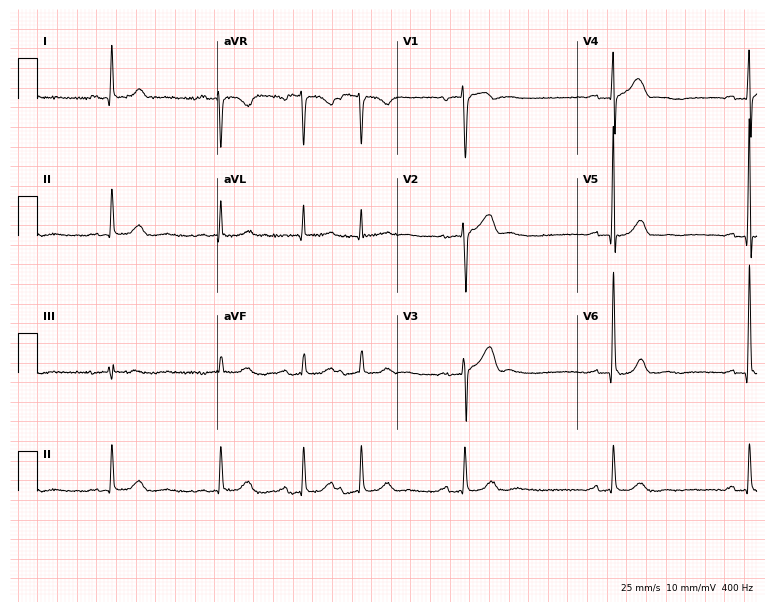
Standard 12-lead ECG recorded from a 77-year-old male (7.3-second recording at 400 Hz). None of these six findings is recorded: first-degree AV block, right bundle branch block (RBBB), left bundle branch block (LBBB), sinus bradycardia, atrial fibrillation (AF), sinus tachycardia. Only these six findings were labelled.